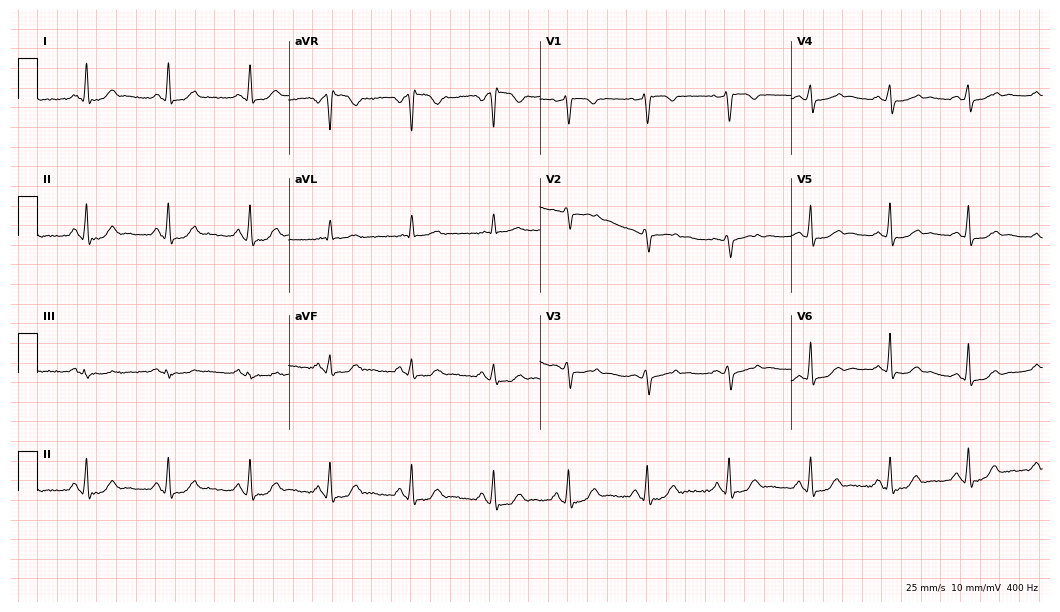
Resting 12-lead electrocardiogram (10.2-second recording at 400 Hz). Patient: a 45-year-old female. None of these six findings is recorded: first-degree AV block, right bundle branch block, left bundle branch block, sinus bradycardia, atrial fibrillation, sinus tachycardia.